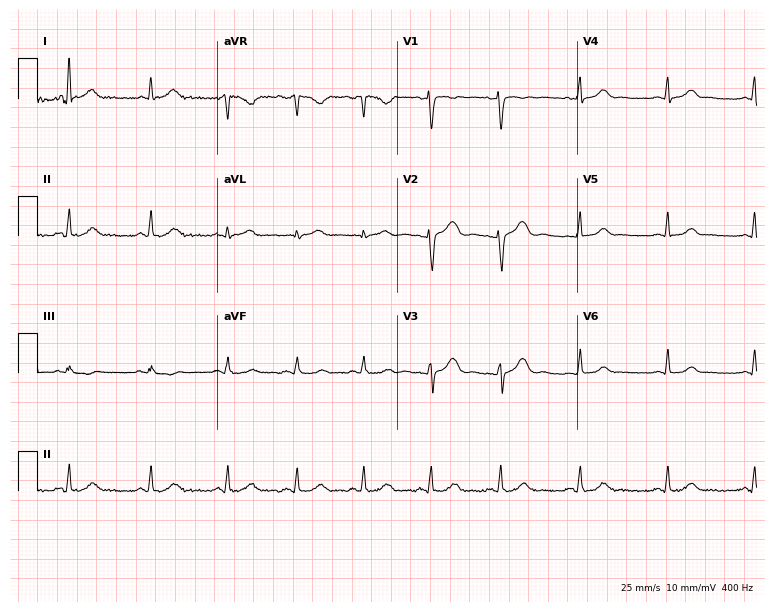
12-lead ECG from a female patient, 35 years old. No first-degree AV block, right bundle branch block, left bundle branch block, sinus bradycardia, atrial fibrillation or sinus tachycardia recorded for this tracing. Other findings, if any, are not listed.